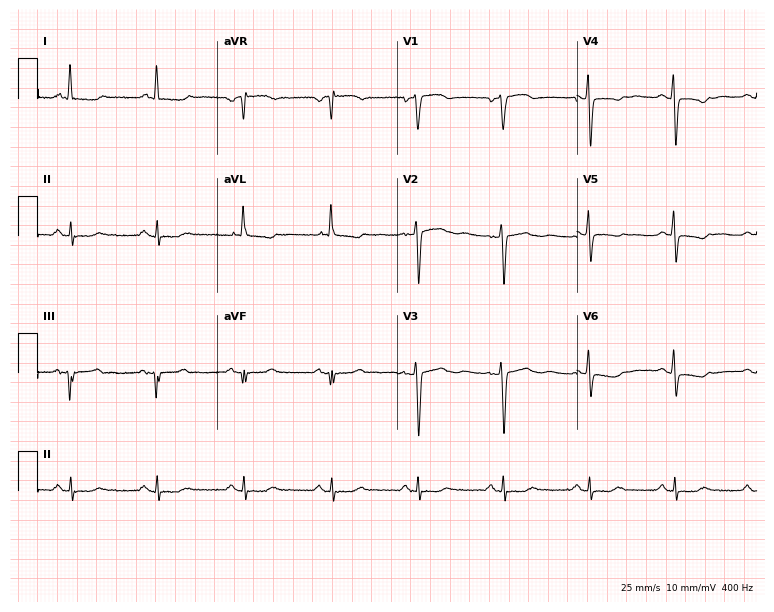
ECG — a 65-year-old female patient. Screened for six findings — first-degree AV block, right bundle branch block, left bundle branch block, sinus bradycardia, atrial fibrillation, sinus tachycardia — none is recorded. Only these six findings were labelled.